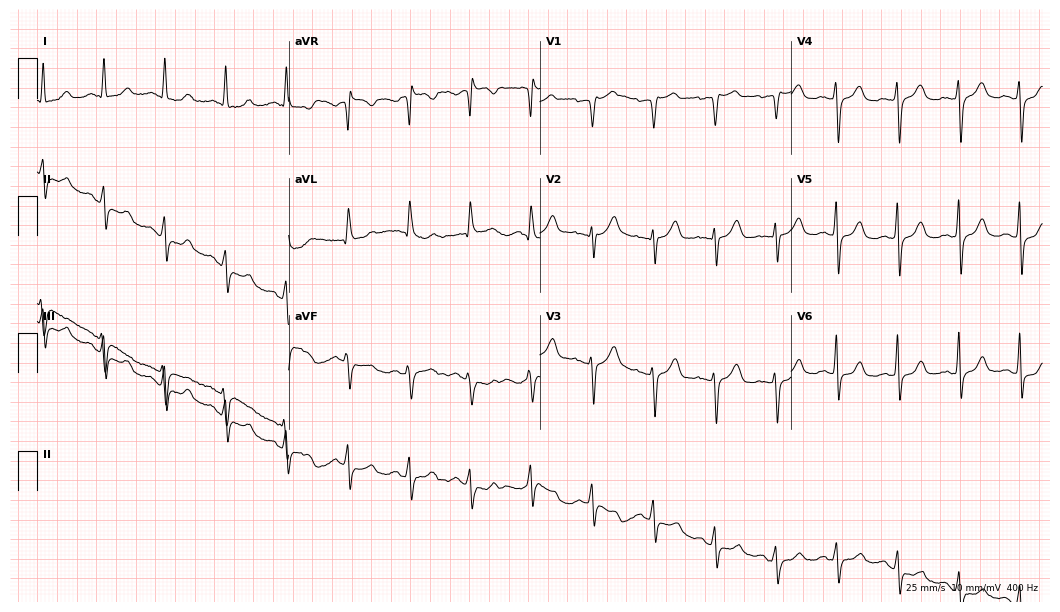
Resting 12-lead electrocardiogram. Patient: a female, 64 years old. None of these six findings is recorded: first-degree AV block, right bundle branch block (RBBB), left bundle branch block (LBBB), sinus bradycardia, atrial fibrillation (AF), sinus tachycardia. Findings outside these six are not listed.